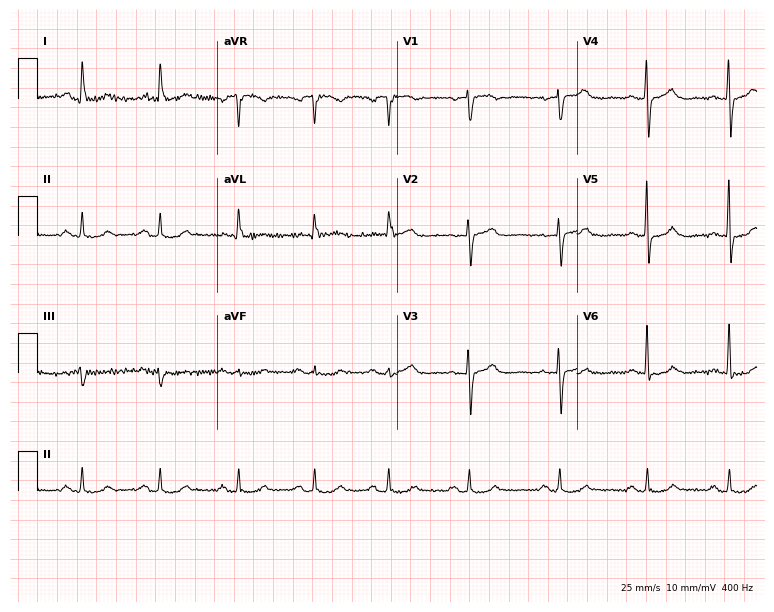
Standard 12-lead ECG recorded from a female, 80 years old. Read as a normal ECG.